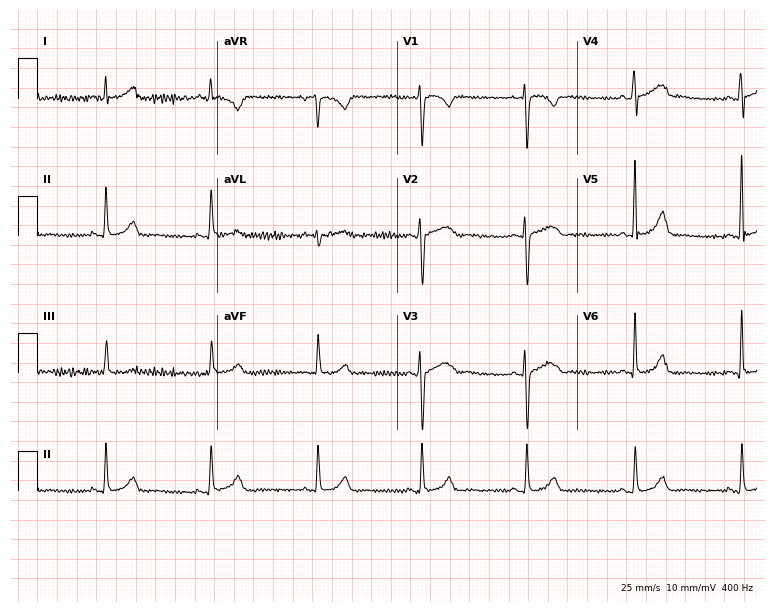
12-lead ECG from a woman, 35 years old. Recorded interpretation: within normal limits.